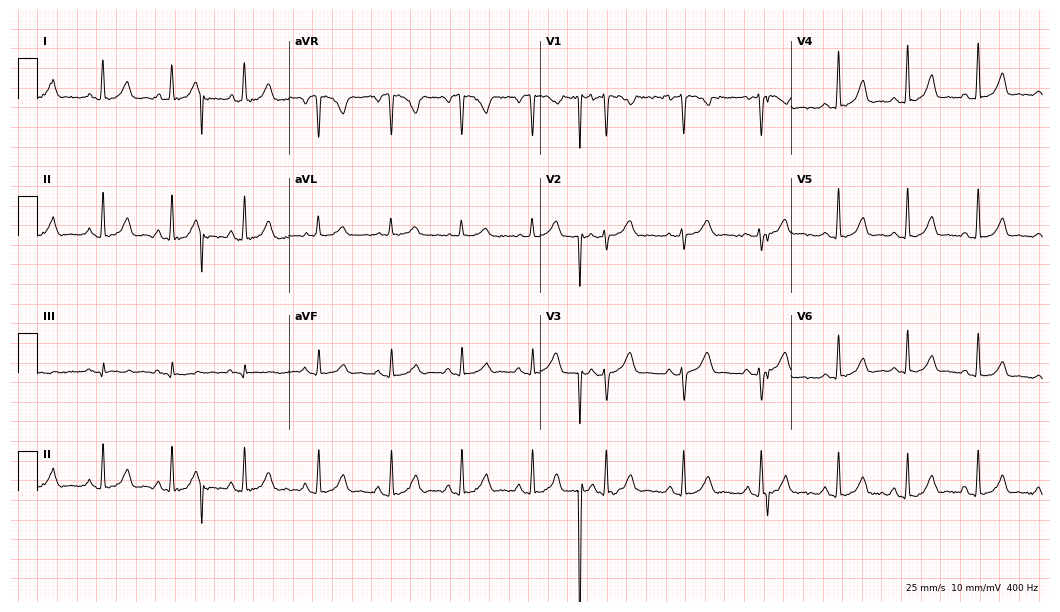
12-lead ECG from a 28-year-old female (10.2-second recording at 400 Hz). No first-degree AV block, right bundle branch block (RBBB), left bundle branch block (LBBB), sinus bradycardia, atrial fibrillation (AF) or sinus tachycardia recorded for this tracing. Other findings, if any, are not listed.